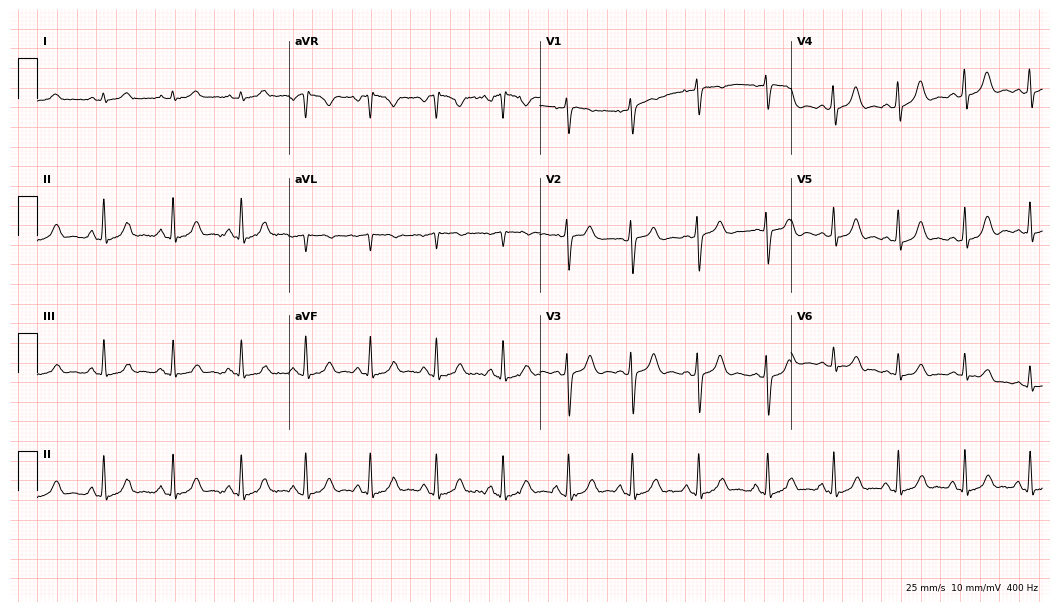
Resting 12-lead electrocardiogram. Patient: a female, 21 years old. Read as a normal ECG.